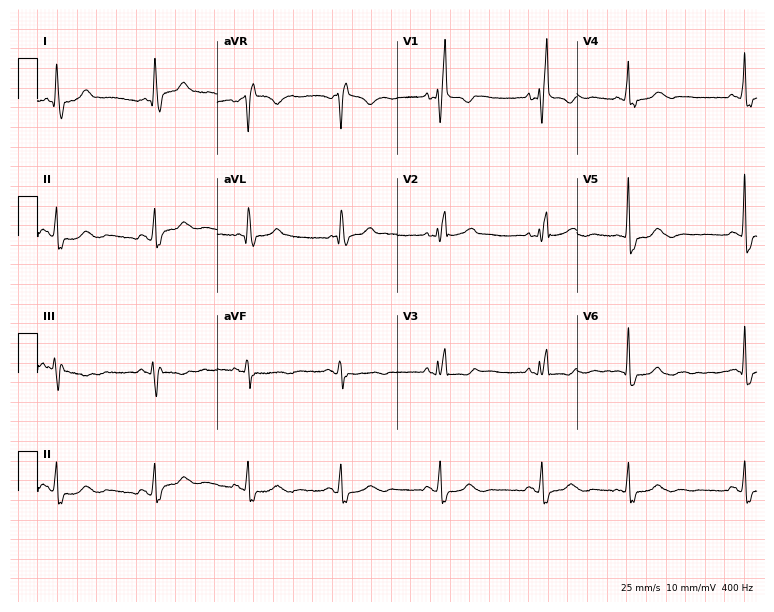
12-lead ECG from a 76-year-old female patient. Findings include right bundle branch block.